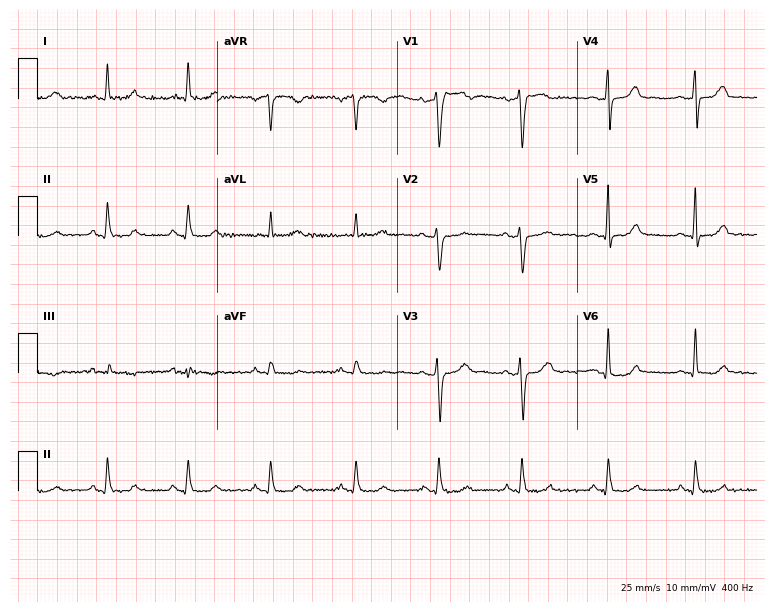
Standard 12-lead ECG recorded from a 59-year-old male (7.3-second recording at 400 Hz). Read as a normal ECG.